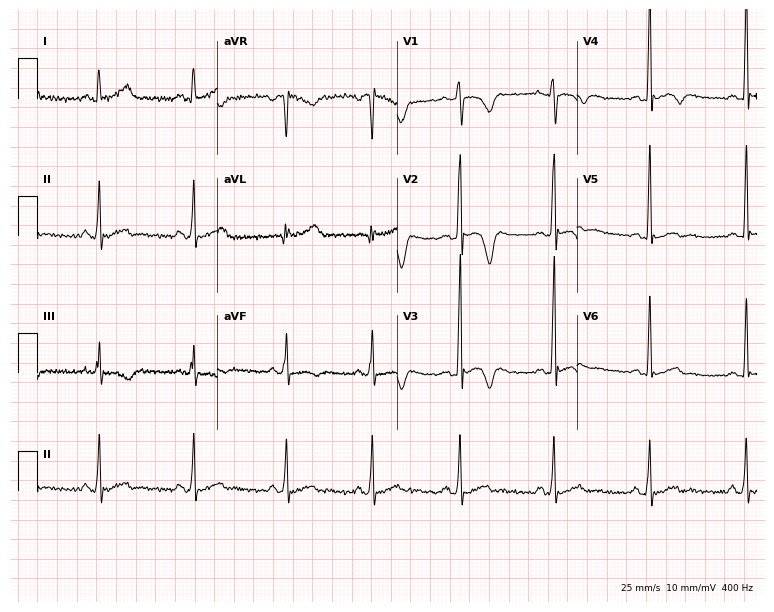
ECG — a 25-year-old man. Screened for six findings — first-degree AV block, right bundle branch block, left bundle branch block, sinus bradycardia, atrial fibrillation, sinus tachycardia — none is recorded.